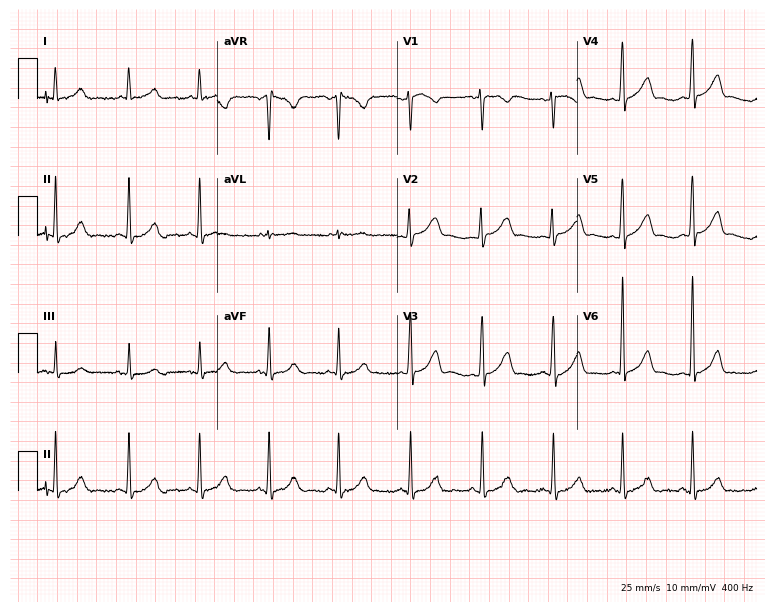
Standard 12-lead ECG recorded from a 42-year-old female. None of these six findings is recorded: first-degree AV block, right bundle branch block, left bundle branch block, sinus bradycardia, atrial fibrillation, sinus tachycardia. Other findings, if any, are not listed.